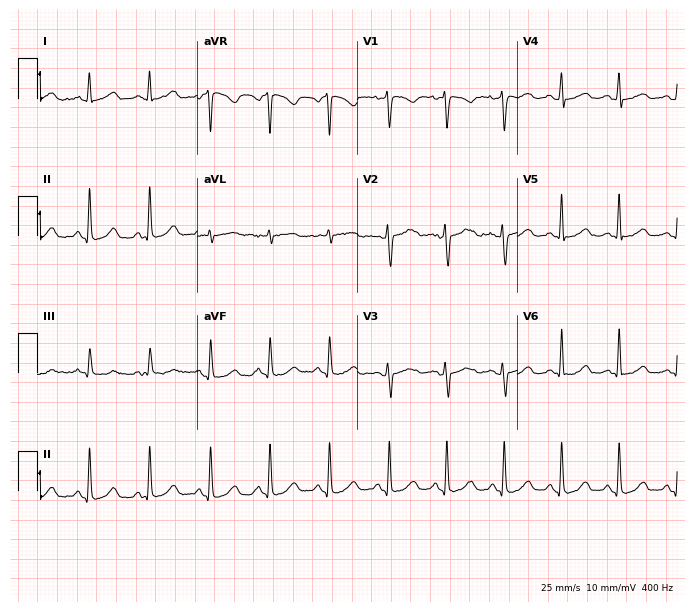
ECG — a female, 28 years old. Labelled as a normal ECG.